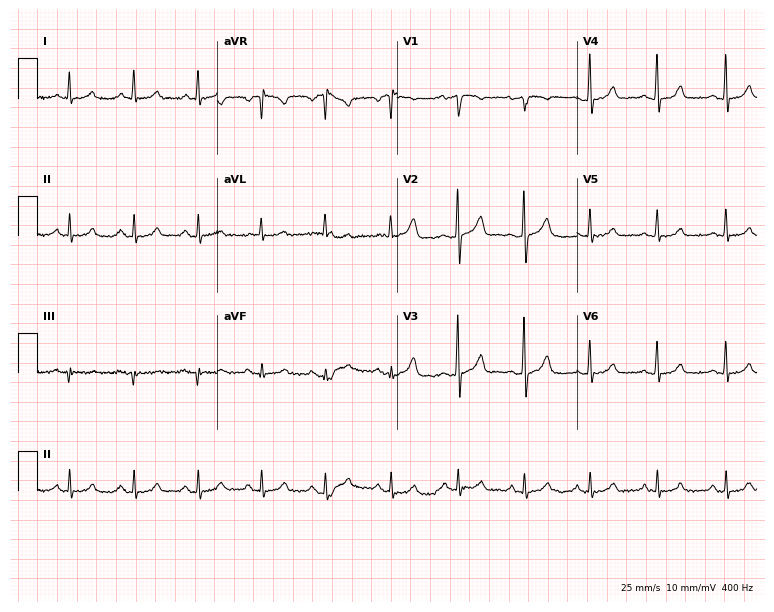
Standard 12-lead ECG recorded from a 58-year-old woman (7.3-second recording at 400 Hz). Read as a normal ECG.